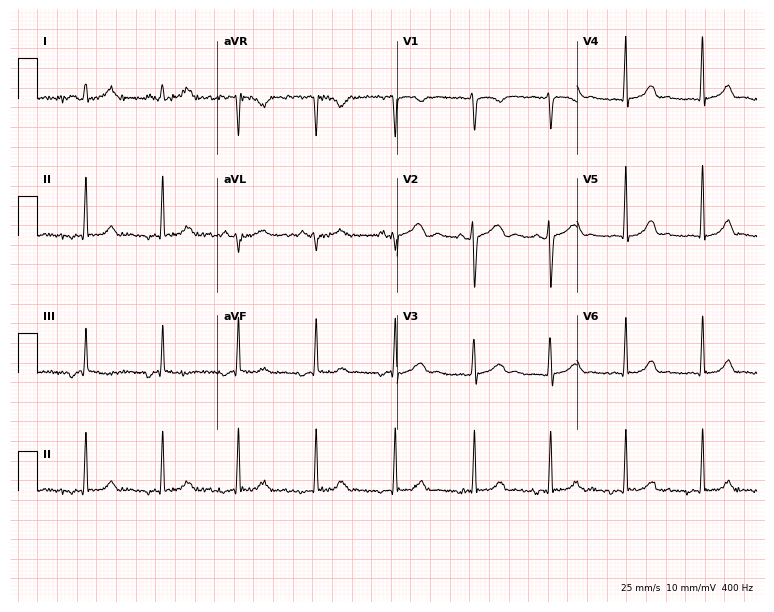
12-lead ECG from a 27-year-old male patient (7.3-second recording at 400 Hz). No first-degree AV block, right bundle branch block, left bundle branch block, sinus bradycardia, atrial fibrillation or sinus tachycardia recorded for this tracing.